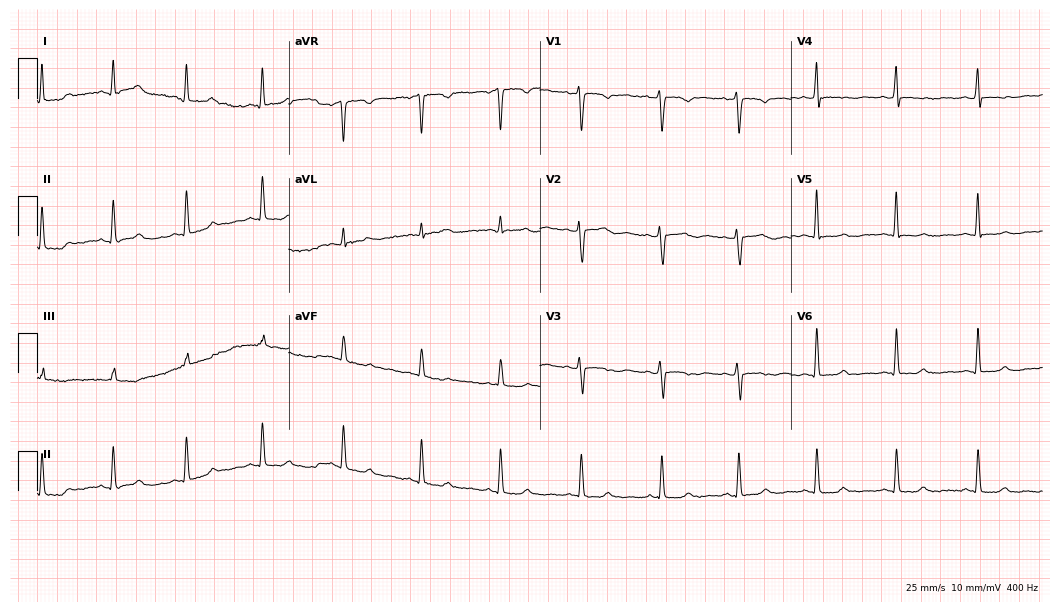
12-lead ECG from a 32-year-old female. No first-degree AV block, right bundle branch block, left bundle branch block, sinus bradycardia, atrial fibrillation or sinus tachycardia recorded for this tracing.